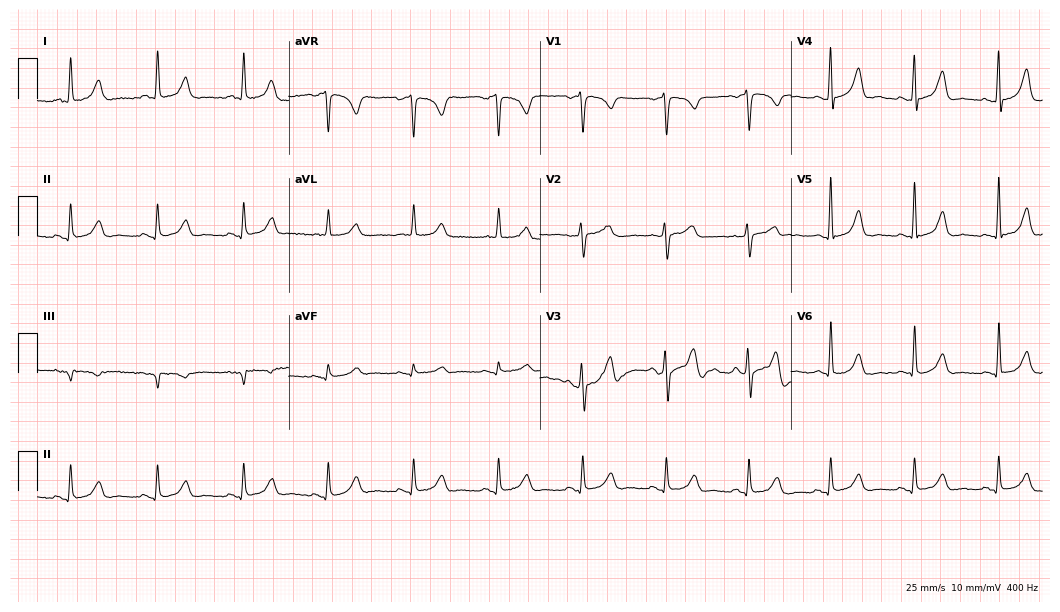
Resting 12-lead electrocardiogram. Patient: a male, 69 years old. Read as a normal ECG.